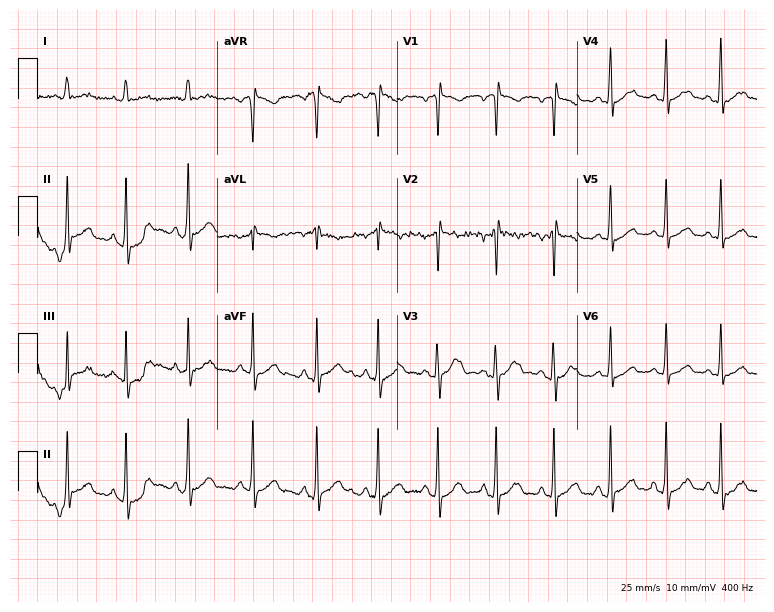
Electrocardiogram (7.3-second recording at 400 Hz), a male, 25 years old. Overall reading on record: normal ECG.